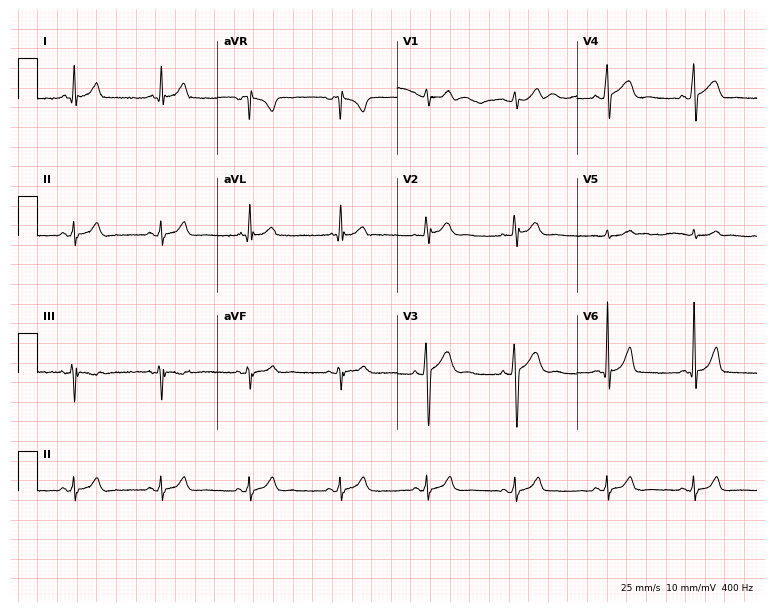
Electrocardiogram, a 37-year-old man. Overall reading on record: normal ECG.